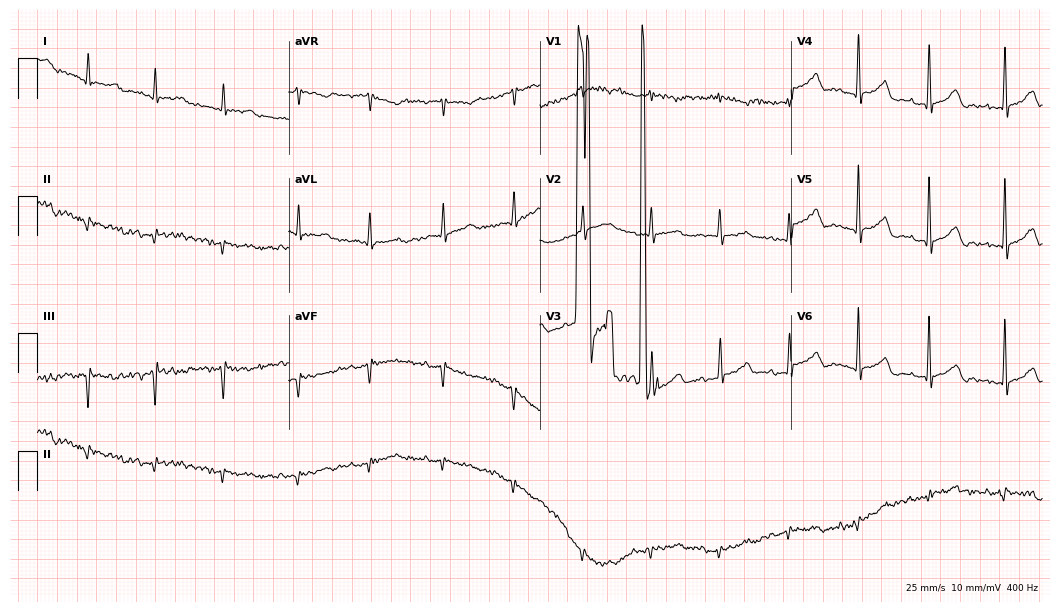
12-lead ECG (10.2-second recording at 400 Hz) from an 81-year-old male. Screened for six findings — first-degree AV block, right bundle branch block (RBBB), left bundle branch block (LBBB), sinus bradycardia, atrial fibrillation (AF), sinus tachycardia — none is recorded.